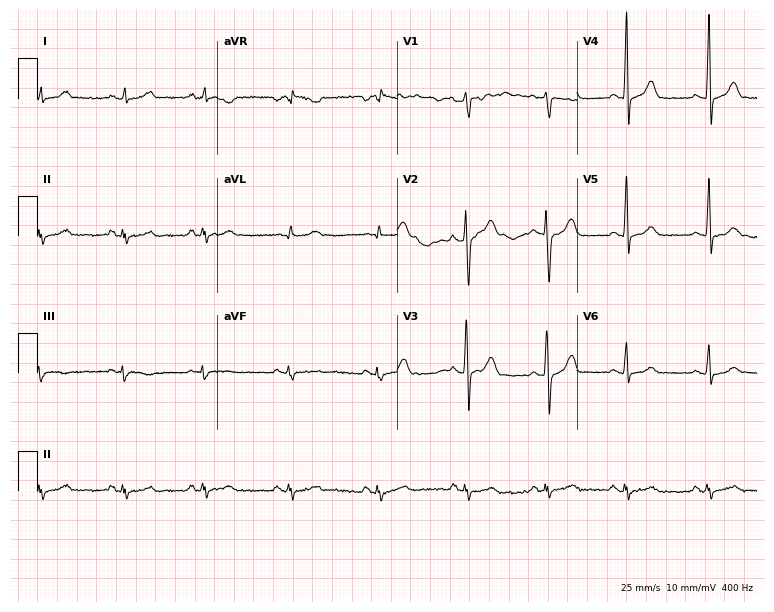
Electrocardiogram, a 32-year-old female. Of the six screened findings (first-degree AV block, right bundle branch block, left bundle branch block, sinus bradycardia, atrial fibrillation, sinus tachycardia), none is recorded. Other findings, if any, are not listed.